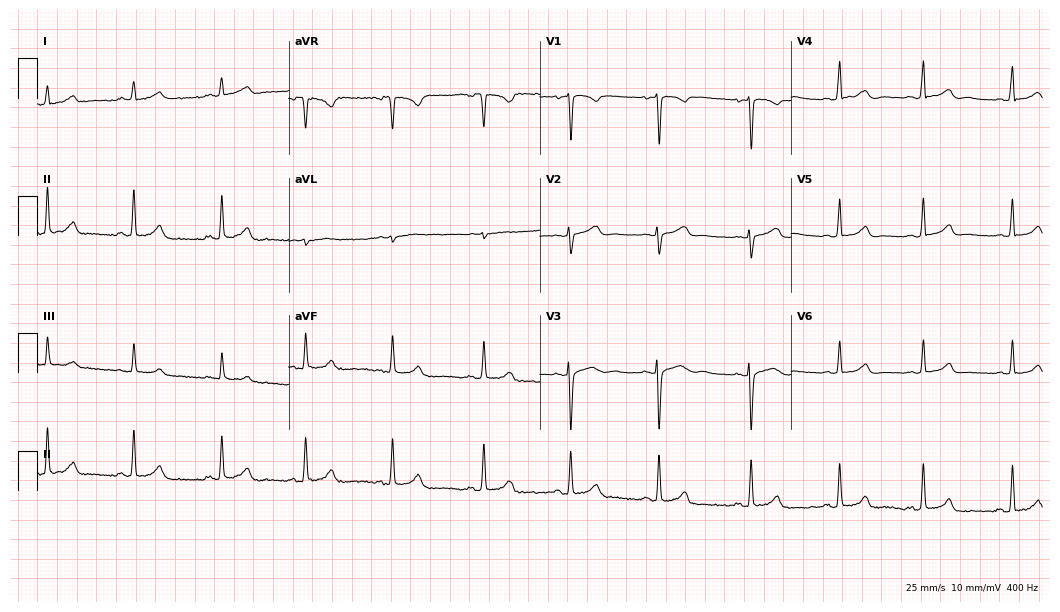
Resting 12-lead electrocardiogram. Patient: a 17-year-old female. None of these six findings is recorded: first-degree AV block, right bundle branch block (RBBB), left bundle branch block (LBBB), sinus bradycardia, atrial fibrillation (AF), sinus tachycardia.